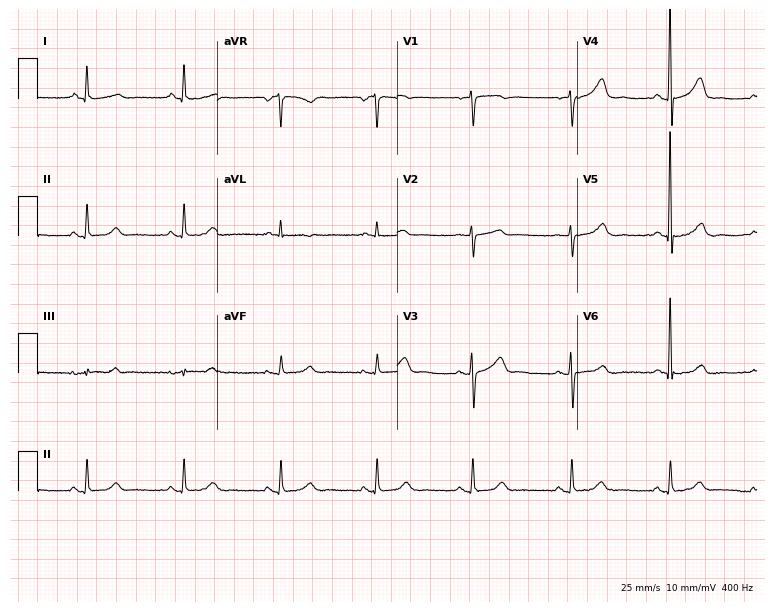
Resting 12-lead electrocardiogram. Patient: a 66-year-old female. None of these six findings is recorded: first-degree AV block, right bundle branch block, left bundle branch block, sinus bradycardia, atrial fibrillation, sinus tachycardia. Other findings, if any, are not listed.